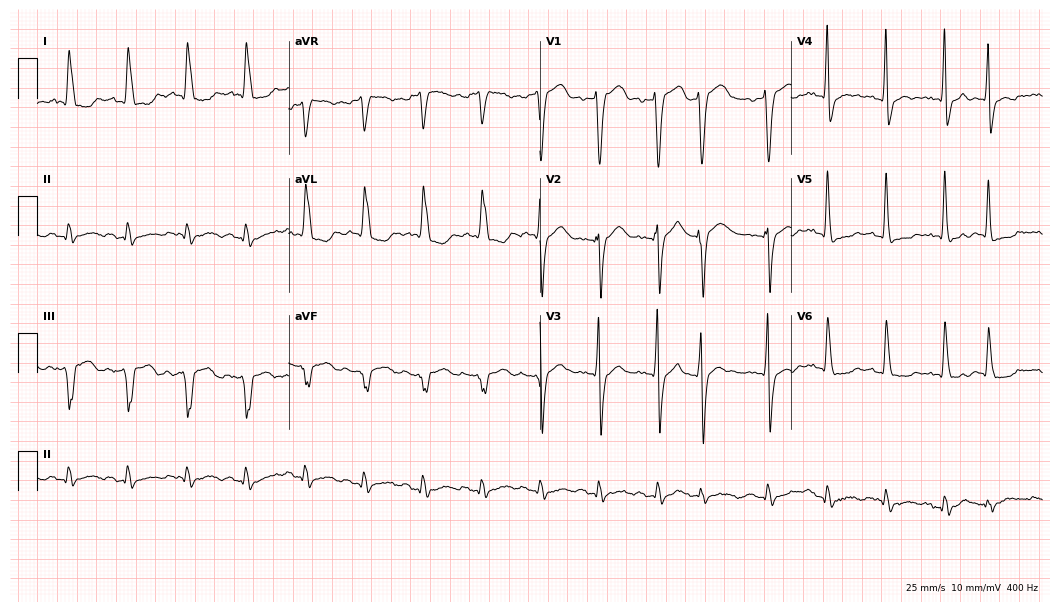
ECG — a woman, 80 years old. Screened for six findings — first-degree AV block, right bundle branch block, left bundle branch block, sinus bradycardia, atrial fibrillation, sinus tachycardia — none is recorded.